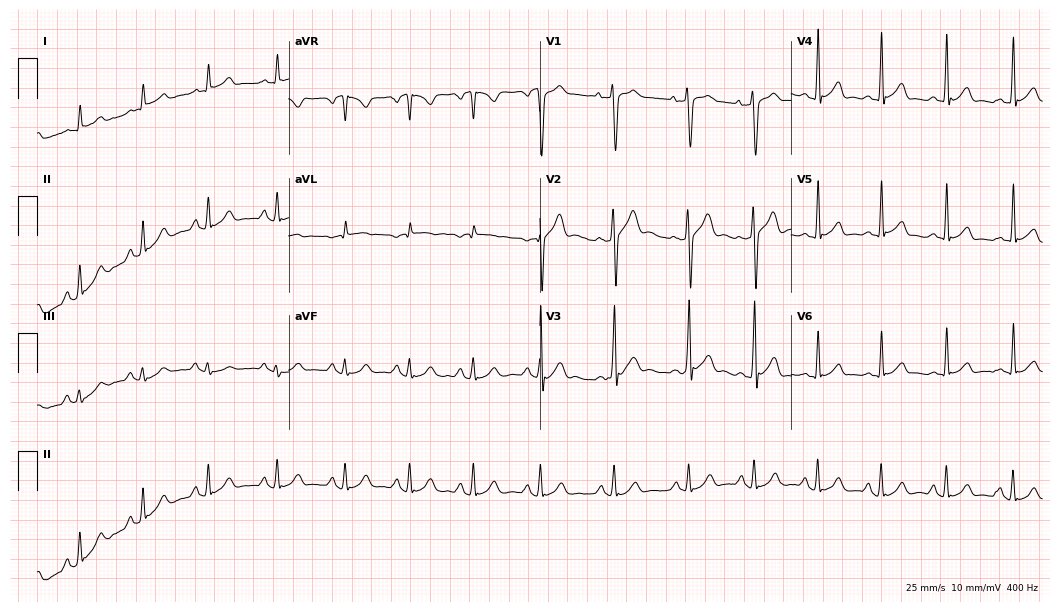
12-lead ECG from a 21-year-old male. Labelled as a normal ECG.